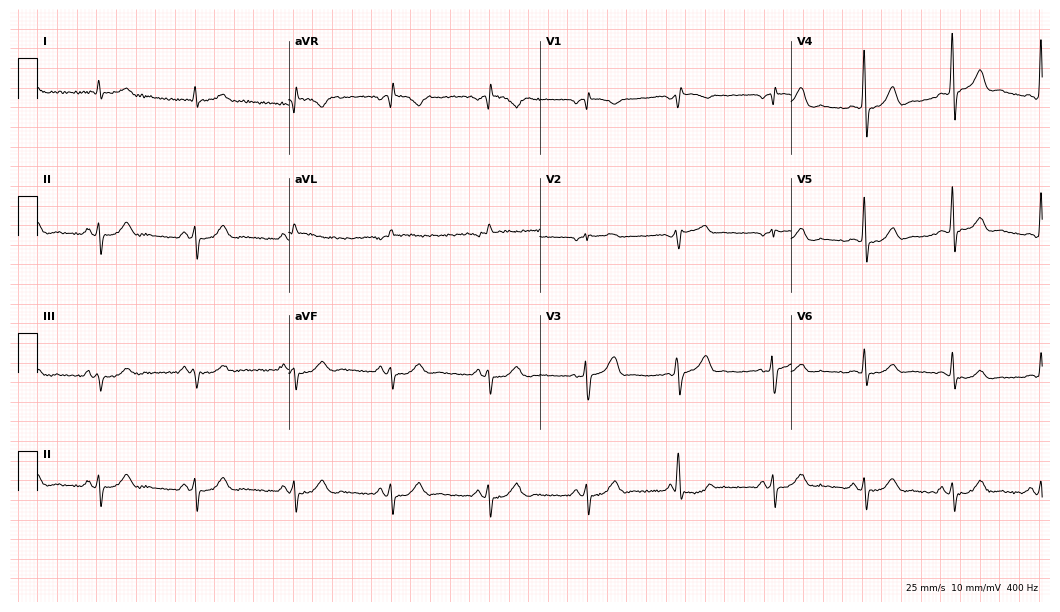
ECG — a 59-year-old male. Screened for six findings — first-degree AV block, right bundle branch block, left bundle branch block, sinus bradycardia, atrial fibrillation, sinus tachycardia — none is recorded. Findings outside these six are not listed.